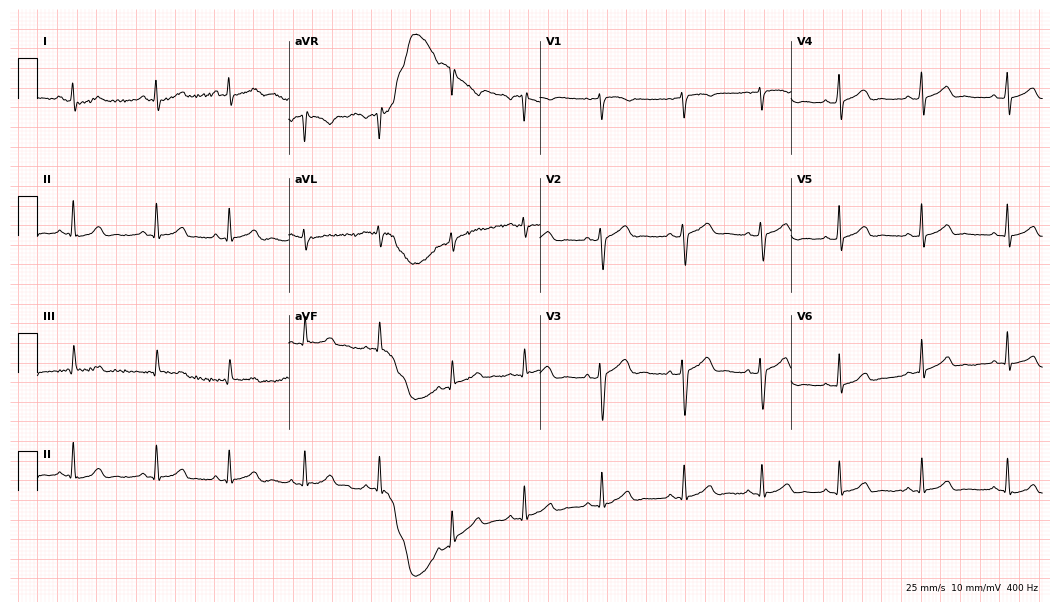
Electrocardiogram, a 21-year-old woman. Of the six screened findings (first-degree AV block, right bundle branch block, left bundle branch block, sinus bradycardia, atrial fibrillation, sinus tachycardia), none is recorded.